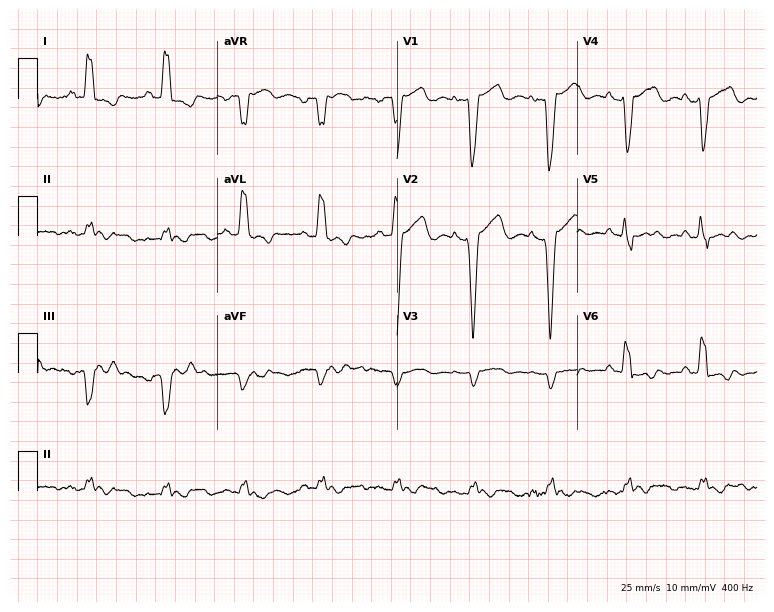
Resting 12-lead electrocardiogram. Patient: a 62-year-old female. The tracing shows left bundle branch block.